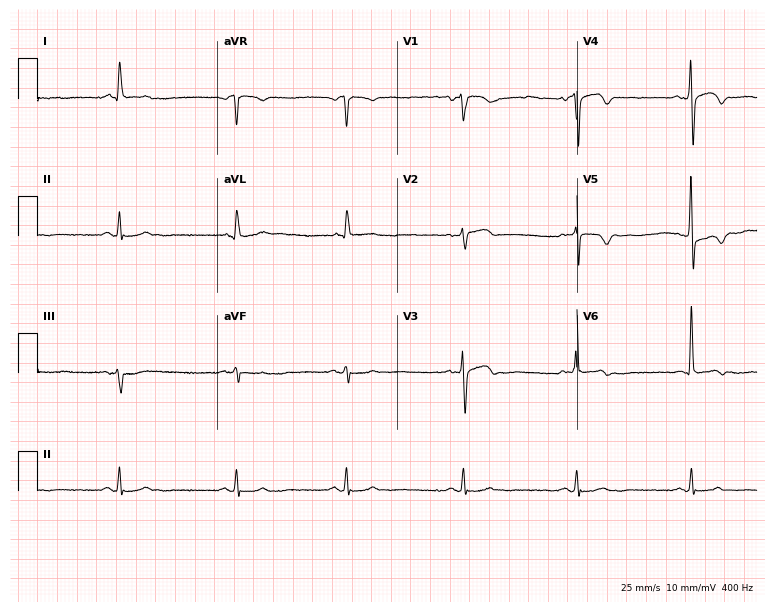
Standard 12-lead ECG recorded from a man, 82 years old (7.3-second recording at 400 Hz). None of these six findings is recorded: first-degree AV block, right bundle branch block (RBBB), left bundle branch block (LBBB), sinus bradycardia, atrial fibrillation (AF), sinus tachycardia. Other findings, if any, are not listed.